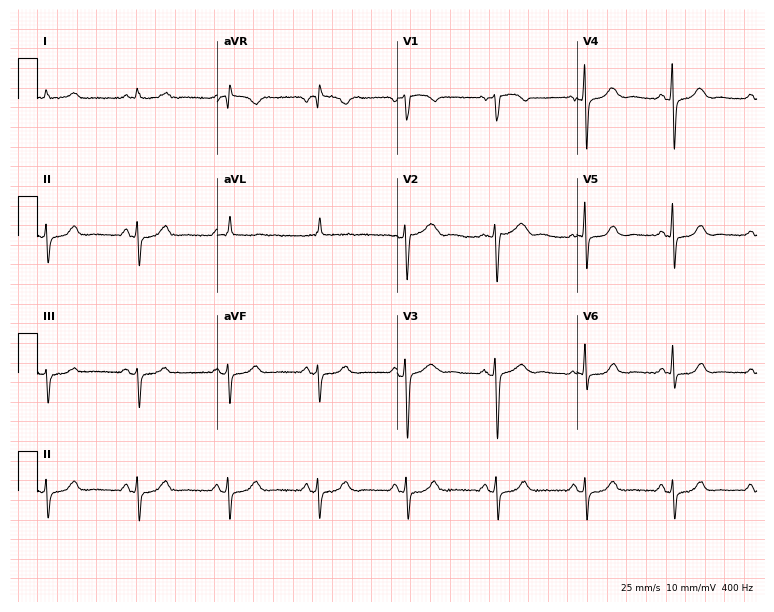
ECG (7.3-second recording at 400 Hz) — a female, 58 years old. Screened for six findings — first-degree AV block, right bundle branch block, left bundle branch block, sinus bradycardia, atrial fibrillation, sinus tachycardia — none is recorded.